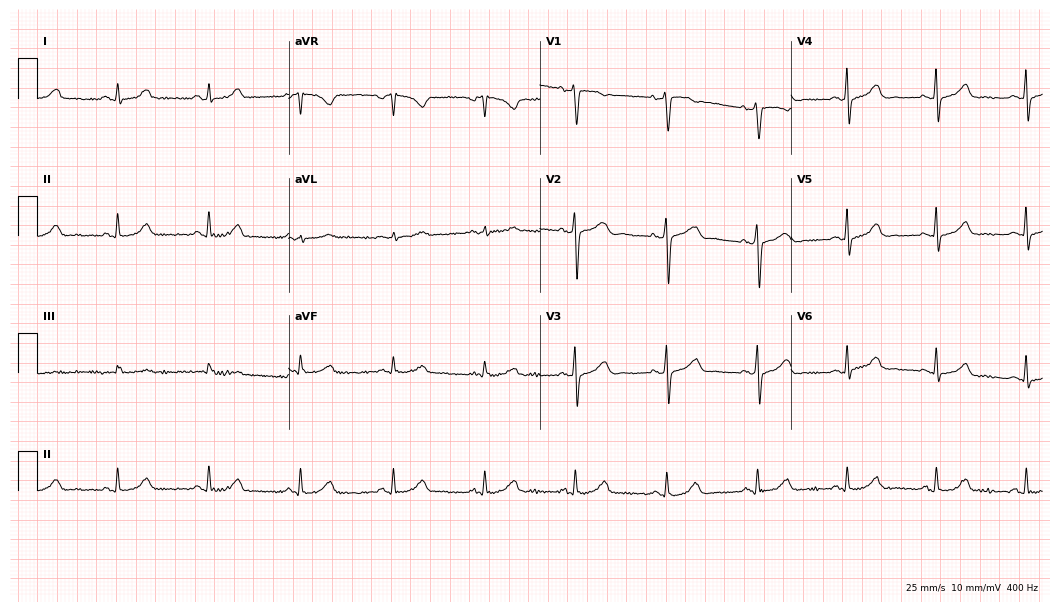
ECG — a female, 74 years old. Labelled as a normal ECG.